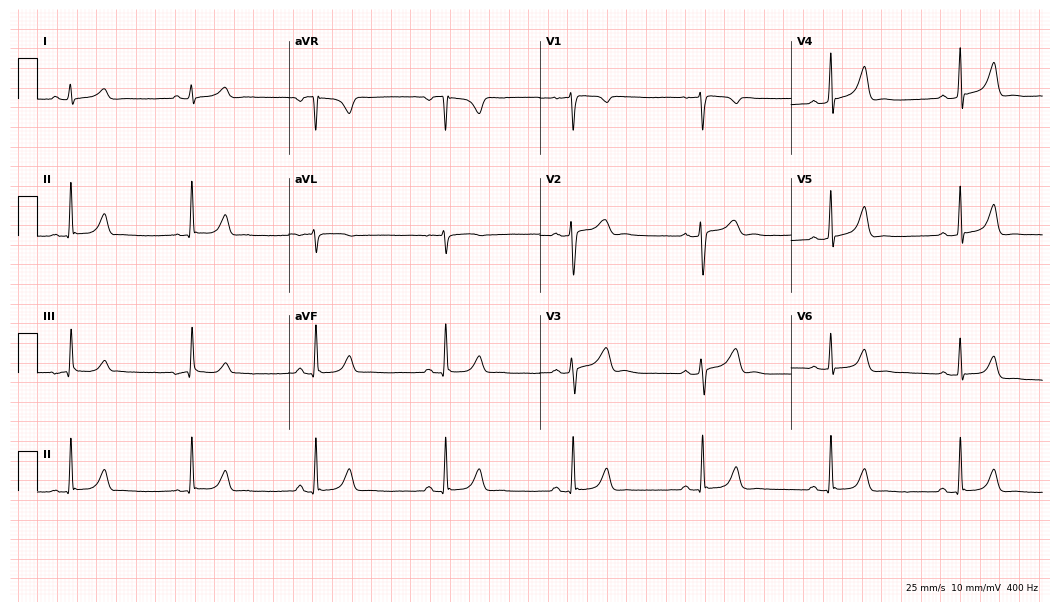
12-lead ECG from a 24-year-old female. Findings include sinus bradycardia (a sinus rate of 50 beats per minute or less).